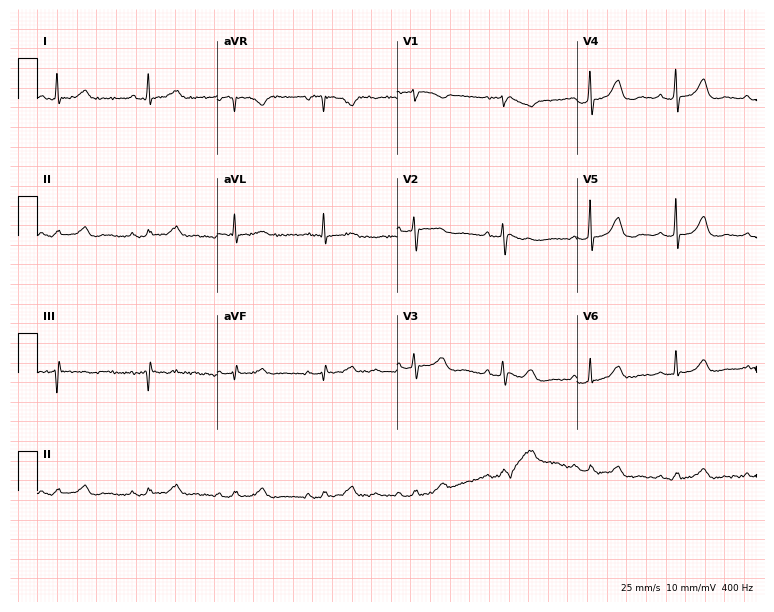
Electrocardiogram (7.3-second recording at 400 Hz), a woman, 71 years old. Of the six screened findings (first-degree AV block, right bundle branch block, left bundle branch block, sinus bradycardia, atrial fibrillation, sinus tachycardia), none is recorded. Only these six findings were labelled.